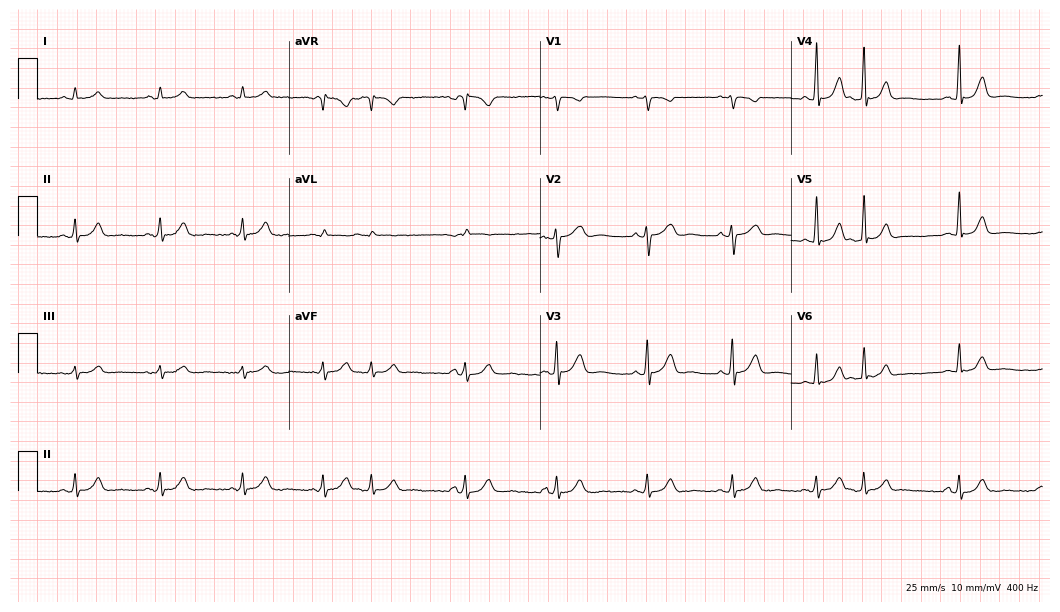
ECG — a male patient, 65 years old. Screened for six findings — first-degree AV block, right bundle branch block, left bundle branch block, sinus bradycardia, atrial fibrillation, sinus tachycardia — none is recorded.